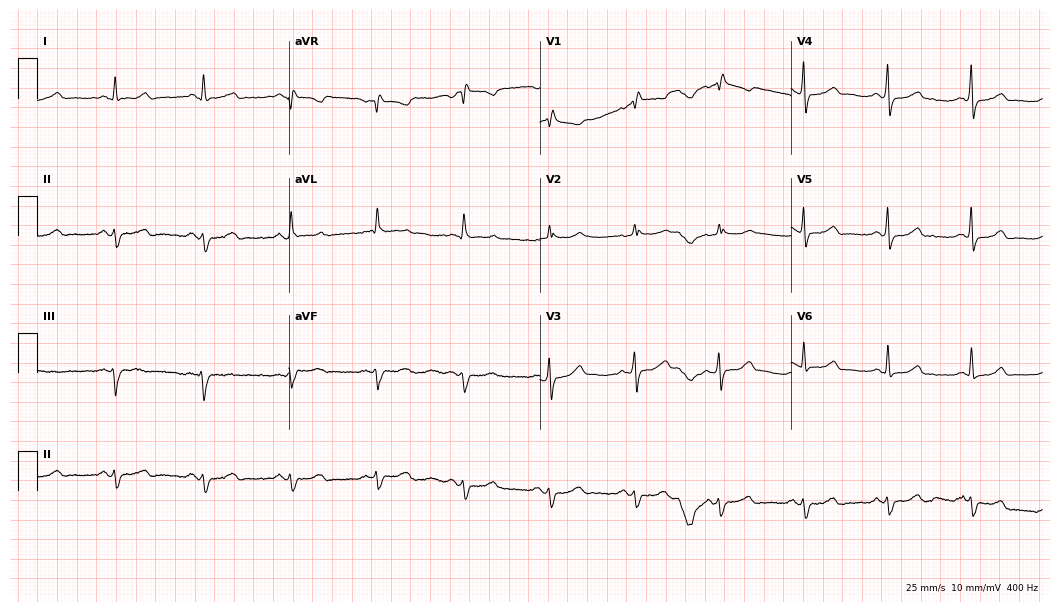
ECG — a 63-year-old man. Screened for six findings — first-degree AV block, right bundle branch block (RBBB), left bundle branch block (LBBB), sinus bradycardia, atrial fibrillation (AF), sinus tachycardia — none is recorded. Findings outside these six are not listed.